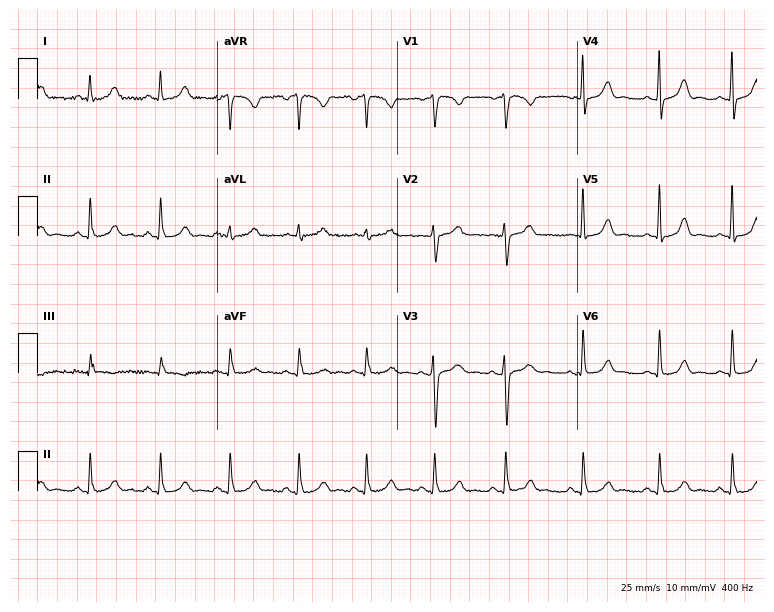
Electrocardiogram (7.3-second recording at 400 Hz), a 35-year-old female patient. Overall reading on record: normal ECG.